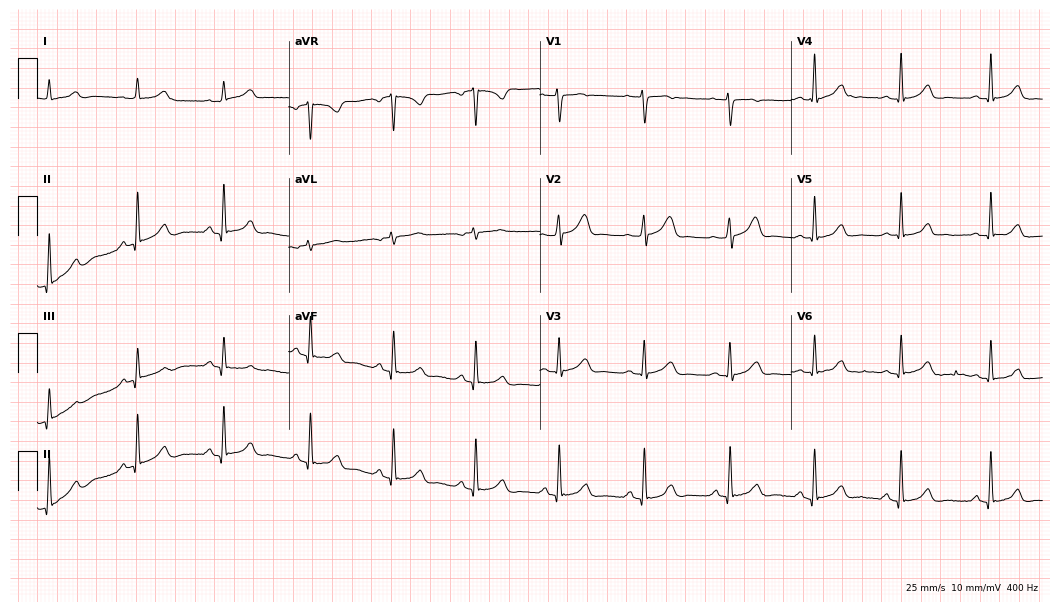
Standard 12-lead ECG recorded from a 31-year-old woman. Read as a normal ECG.